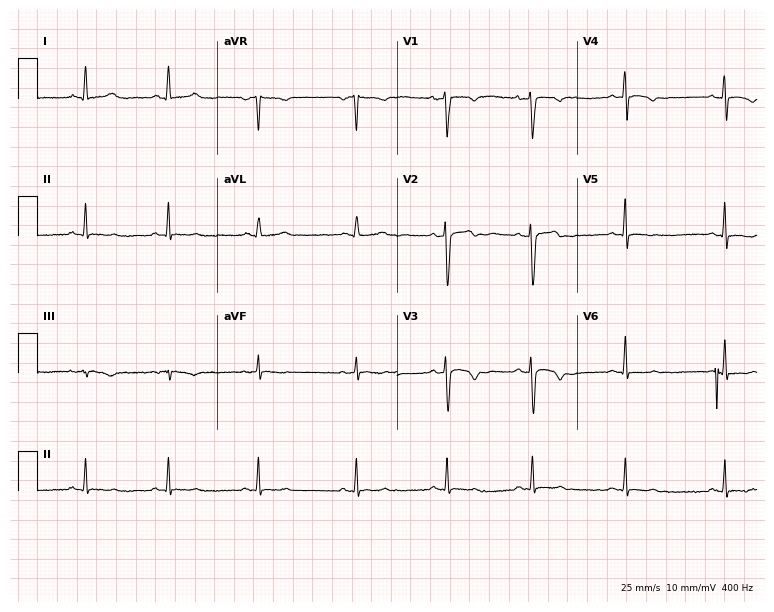
Standard 12-lead ECG recorded from a female patient, 32 years old. None of these six findings is recorded: first-degree AV block, right bundle branch block, left bundle branch block, sinus bradycardia, atrial fibrillation, sinus tachycardia.